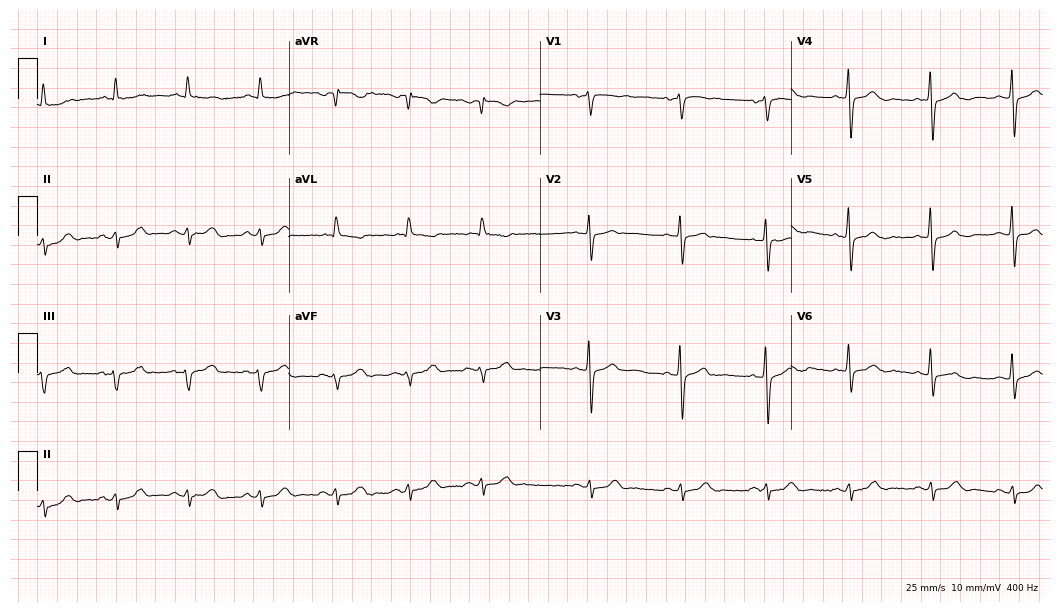
ECG — a 79-year-old male. Screened for six findings — first-degree AV block, right bundle branch block, left bundle branch block, sinus bradycardia, atrial fibrillation, sinus tachycardia — none is recorded. Only these six findings were labelled.